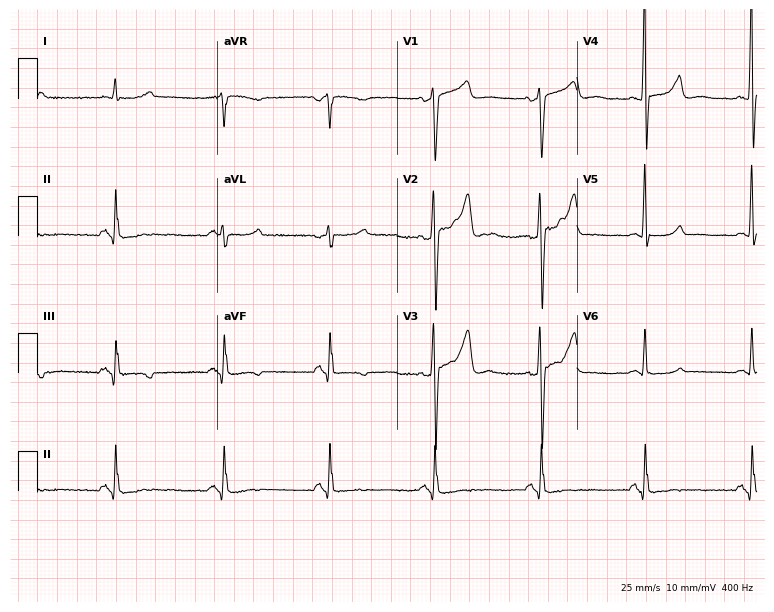
Electrocardiogram (7.3-second recording at 400 Hz), a man, 69 years old. Of the six screened findings (first-degree AV block, right bundle branch block, left bundle branch block, sinus bradycardia, atrial fibrillation, sinus tachycardia), none is recorded.